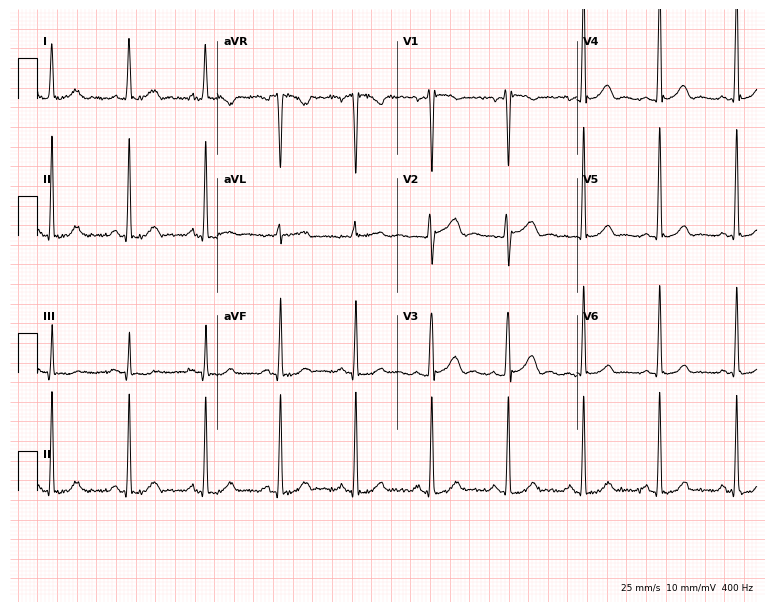
ECG — a female, 48 years old. Labelled as a normal ECG.